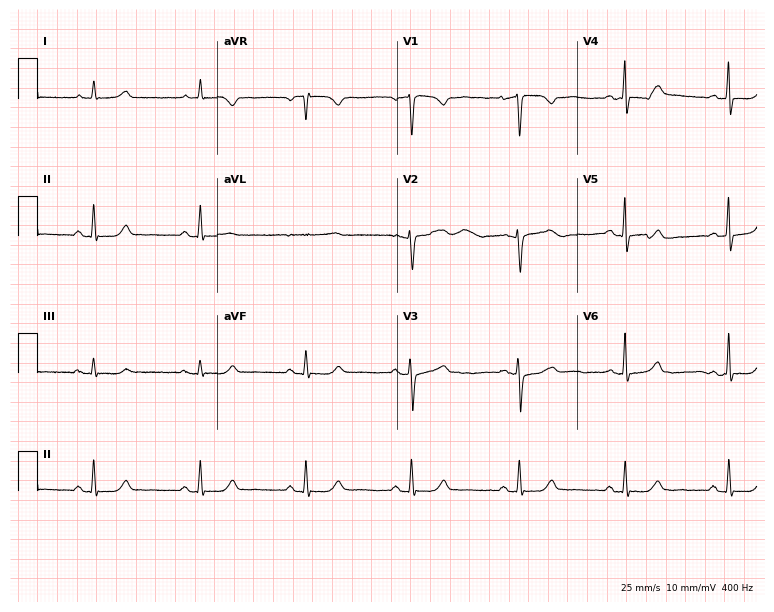
Resting 12-lead electrocardiogram. Patient: a female, 51 years old. None of these six findings is recorded: first-degree AV block, right bundle branch block (RBBB), left bundle branch block (LBBB), sinus bradycardia, atrial fibrillation (AF), sinus tachycardia. Findings outside these six are not listed.